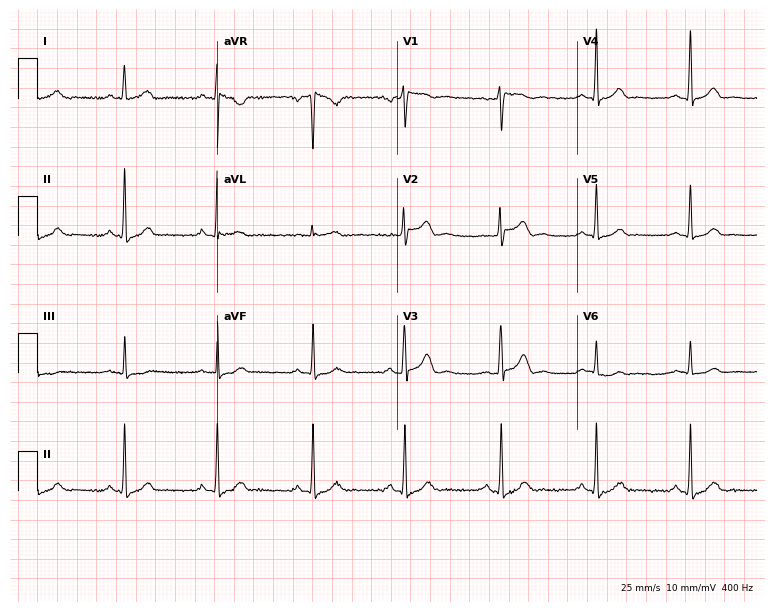
Standard 12-lead ECG recorded from a 60-year-old woman. None of these six findings is recorded: first-degree AV block, right bundle branch block, left bundle branch block, sinus bradycardia, atrial fibrillation, sinus tachycardia.